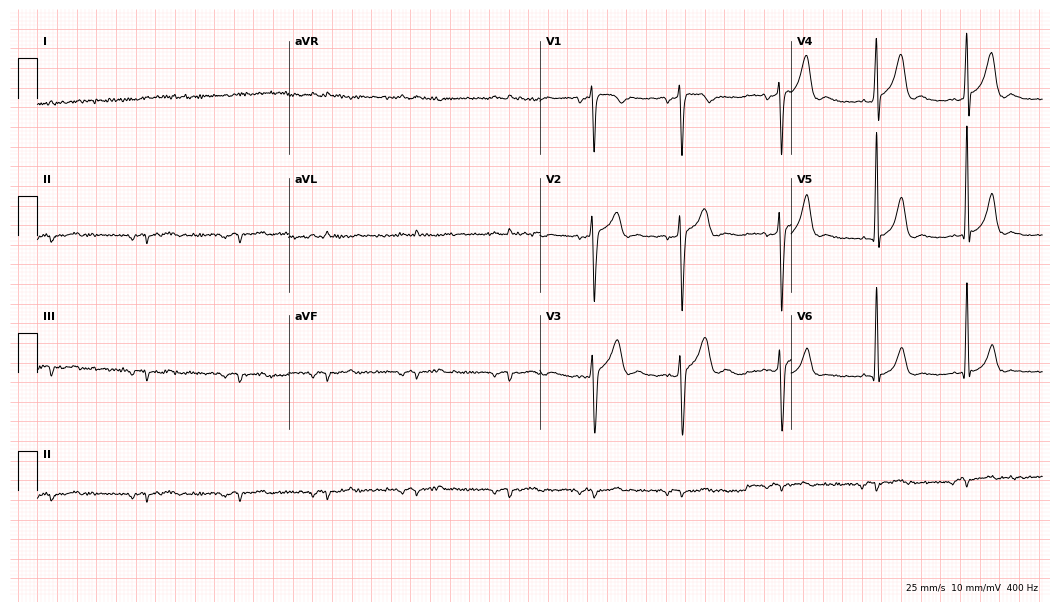
12-lead ECG from a 30-year-old male. Screened for six findings — first-degree AV block, right bundle branch block, left bundle branch block, sinus bradycardia, atrial fibrillation, sinus tachycardia — none is recorded. Only these six findings were labelled.